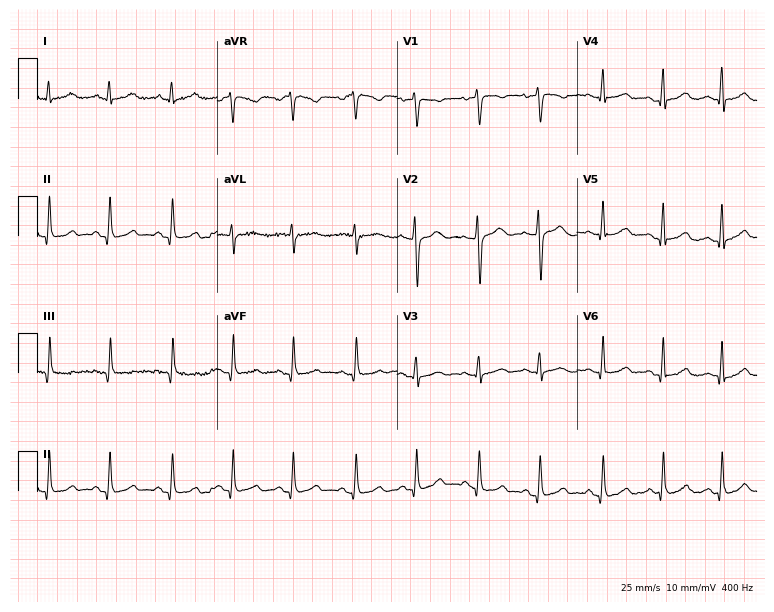
Standard 12-lead ECG recorded from a 32-year-old female. Read as a normal ECG.